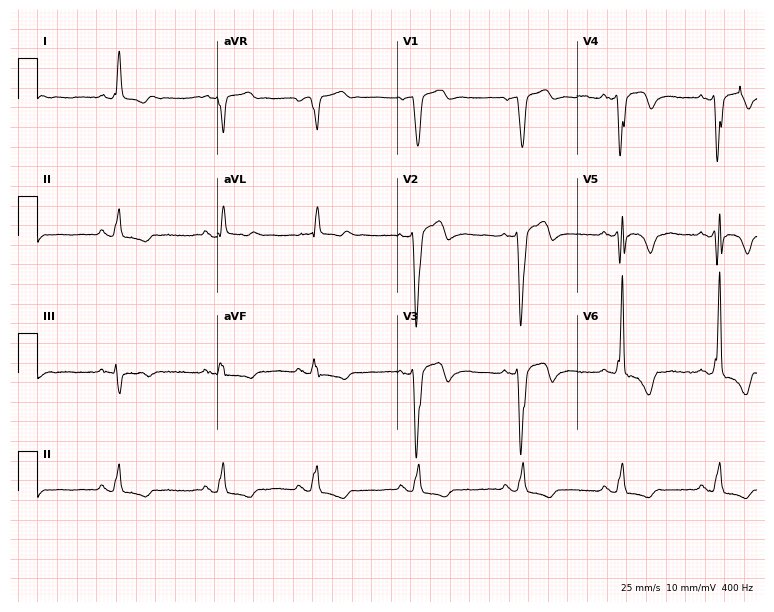
ECG (7.3-second recording at 400 Hz) — a 73-year-old male. Screened for six findings — first-degree AV block, right bundle branch block, left bundle branch block, sinus bradycardia, atrial fibrillation, sinus tachycardia — none is recorded.